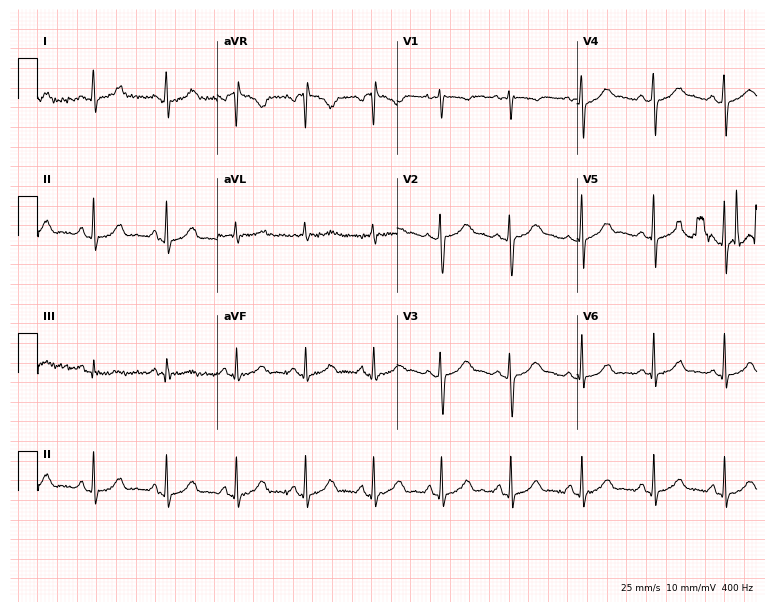
12-lead ECG from a 45-year-old female. Recorded interpretation: within normal limits.